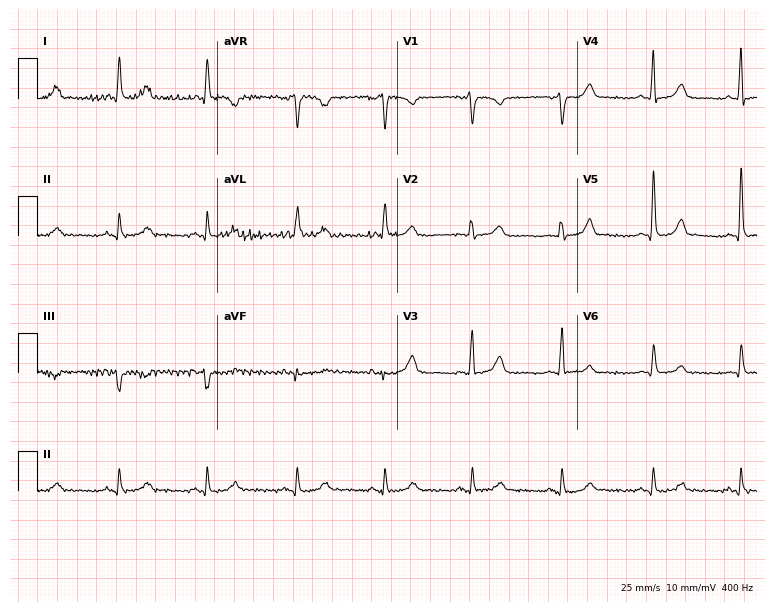
Standard 12-lead ECG recorded from a female, 72 years old. None of these six findings is recorded: first-degree AV block, right bundle branch block (RBBB), left bundle branch block (LBBB), sinus bradycardia, atrial fibrillation (AF), sinus tachycardia. Findings outside these six are not listed.